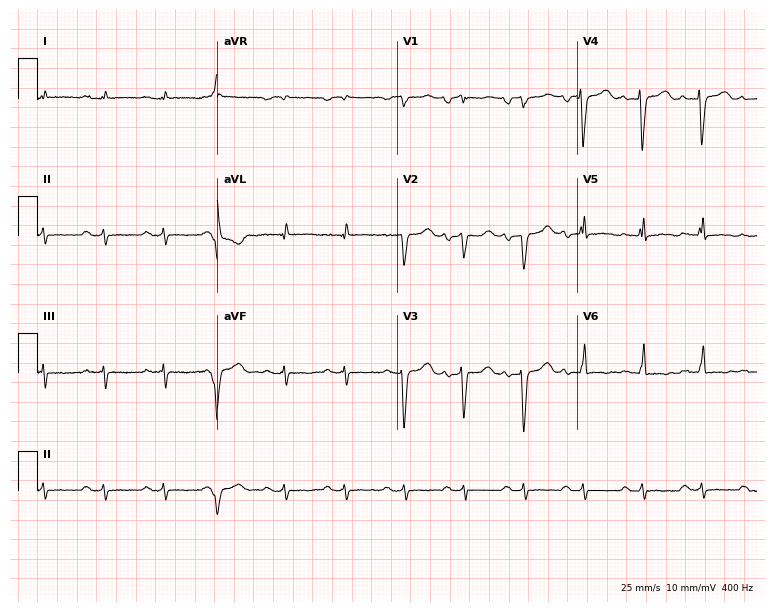
Resting 12-lead electrocardiogram (7.3-second recording at 400 Hz). Patient: a male, 47 years old. None of these six findings is recorded: first-degree AV block, right bundle branch block, left bundle branch block, sinus bradycardia, atrial fibrillation, sinus tachycardia.